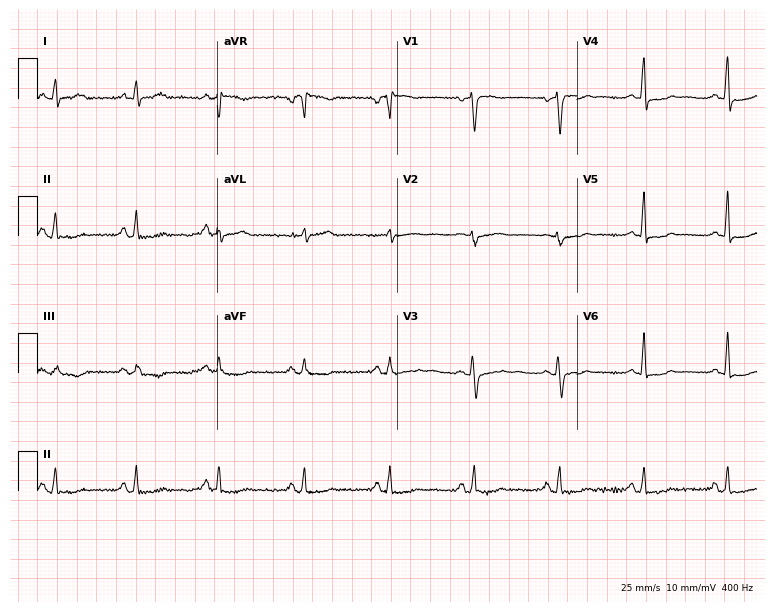
12-lead ECG from a 48-year-old female. No first-degree AV block, right bundle branch block, left bundle branch block, sinus bradycardia, atrial fibrillation or sinus tachycardia recorded for this tracing.